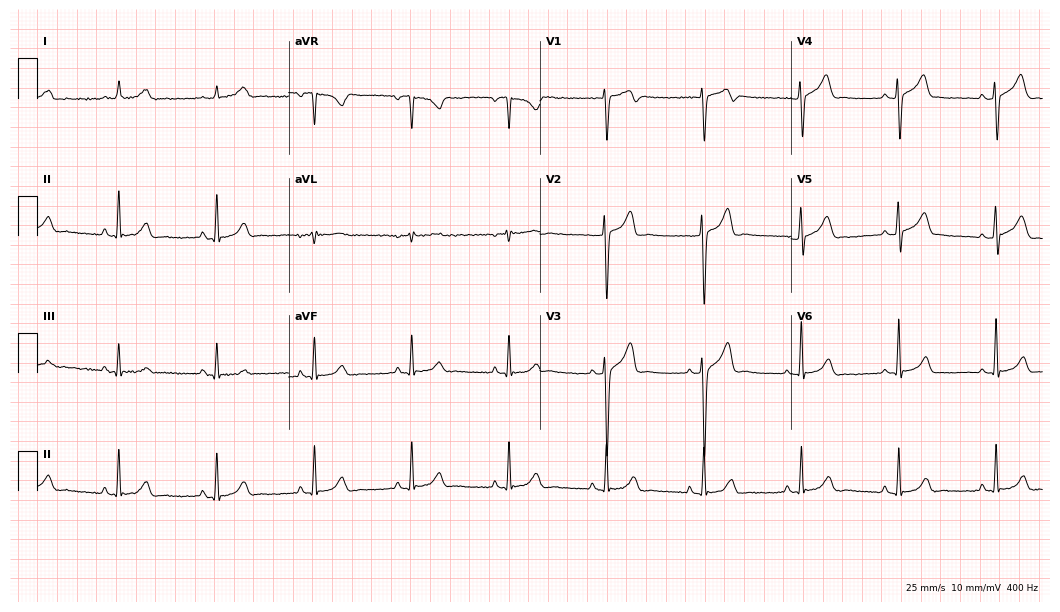
Electrocardiogram, a 25-year-old man. Overall reading on record: normal ECG.